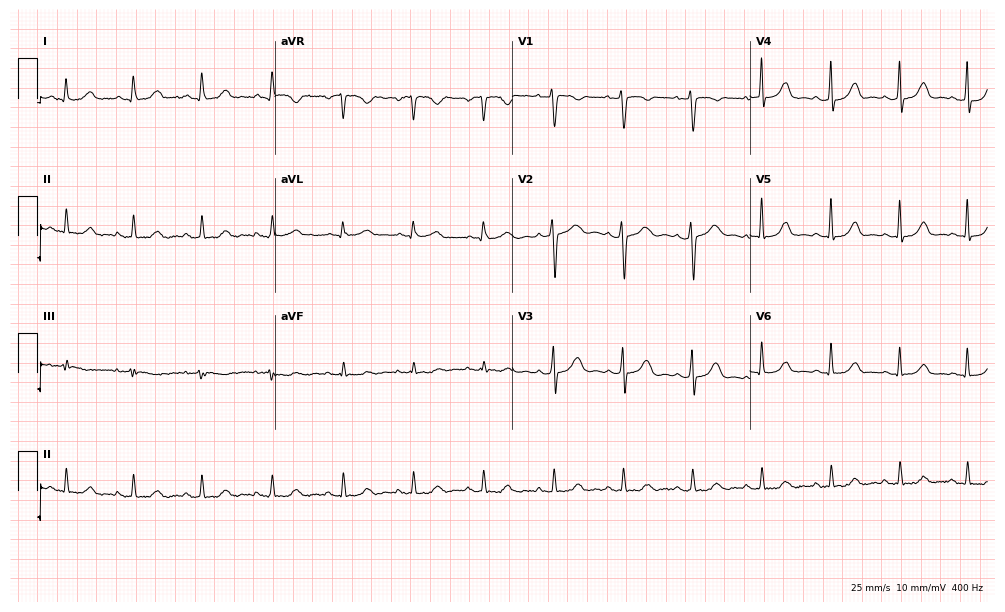
Electrocardiogram, a woman, 47 years old. Overall reading on record: normal ECG.